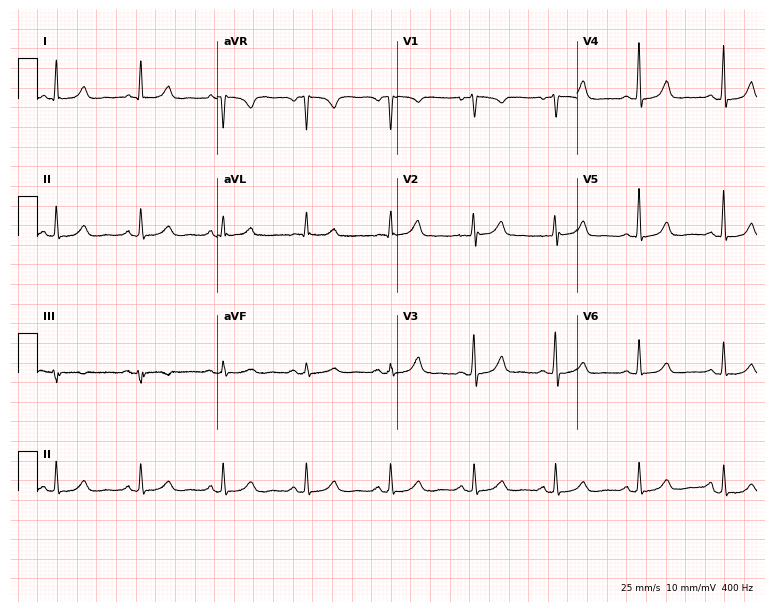
Resting 12-lead electrocardiogram. Patient: a female, 47 years old. Read as a normal ECG.